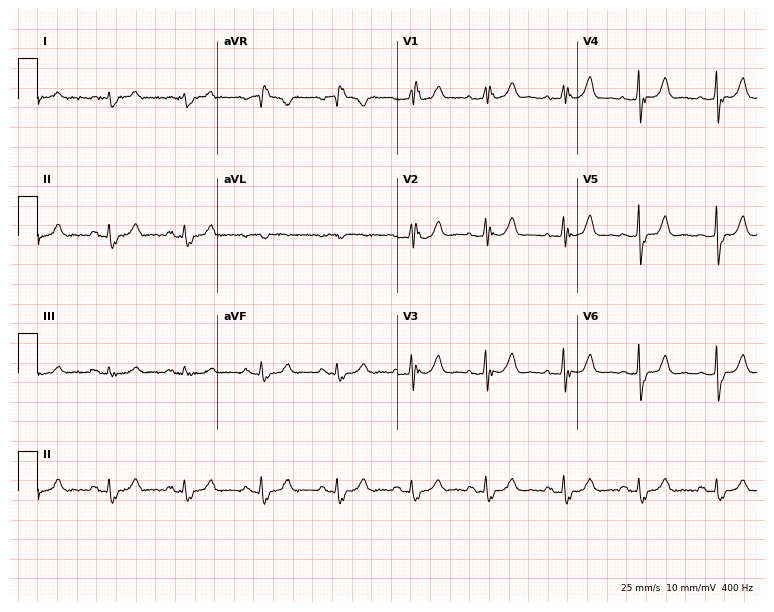
Standard 12-lead ECG recorded from a man, 77 years old. None of these six findings is recorded: first-degree AV block, right bundle branch block, left bundle branch block, sinus bradycardia, atrial fibrillation, sinus tachycardia. Other findings, if any, are not listed.